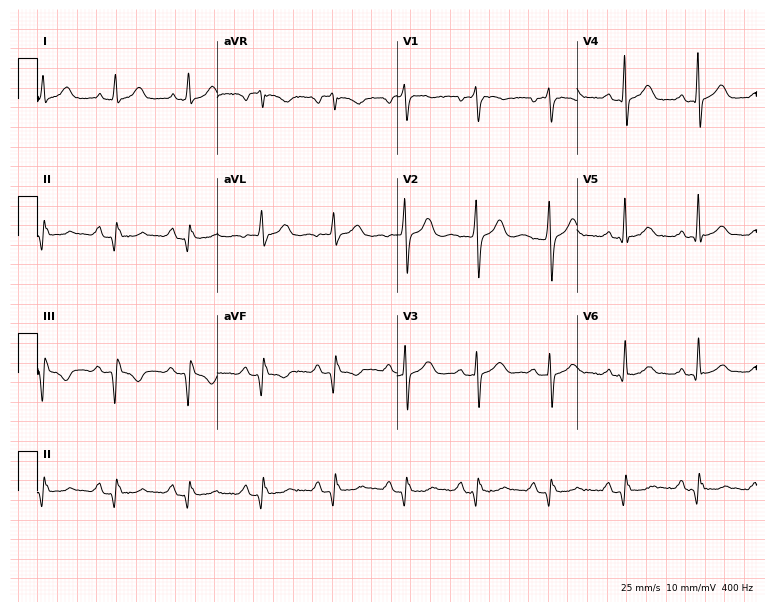
12-lead ECG (7.3-second recording at 400 Hz) from a male, 72 years old. Screened for six findings — first-degree AV block, right bundle branch block, left bundle branch block, sinus bradycardia, atrial fibrillation, sinus tachycardia — none is recorded.